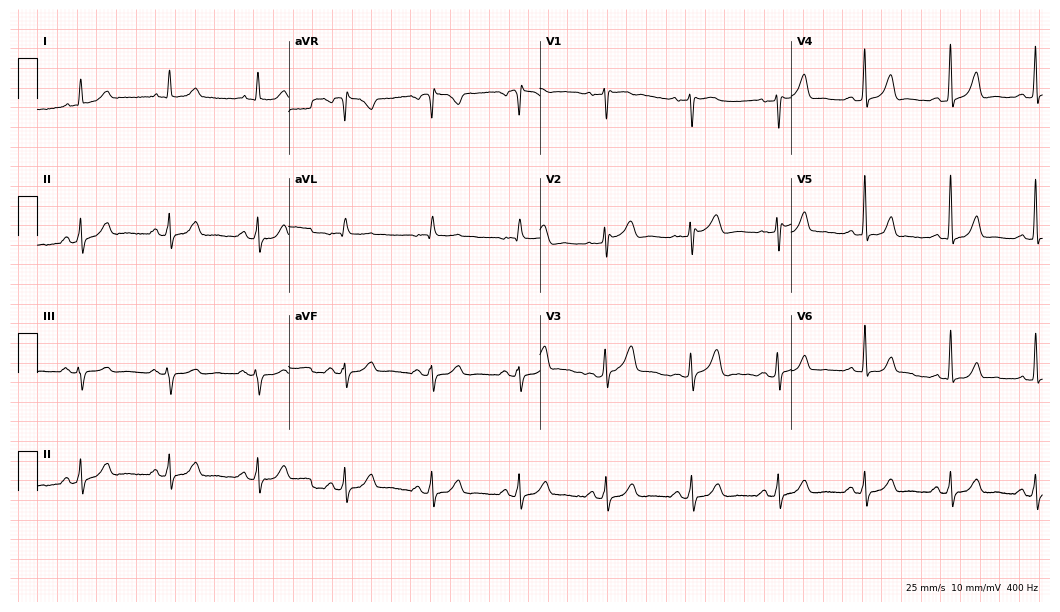
12-lead ECG from a female, 48 years old (10.2-second recording at 400 Hz). Recorded interpretation: within normal limits.